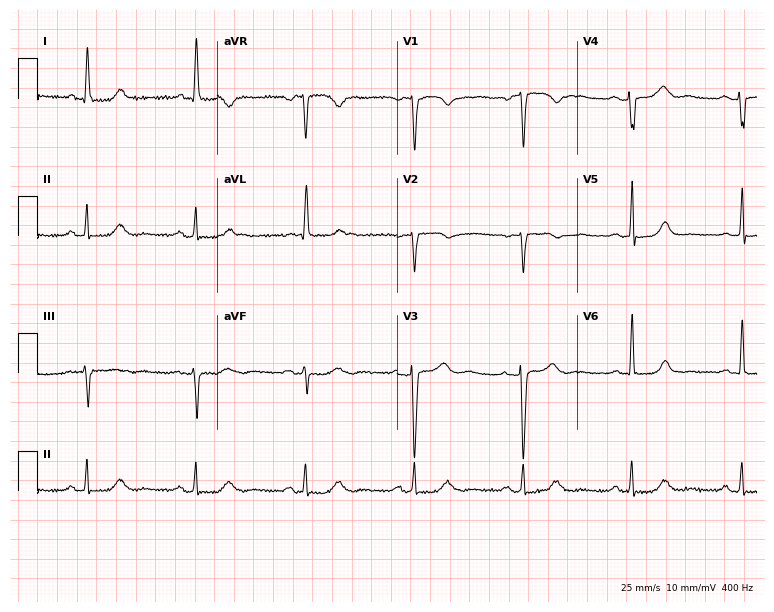
Electrocardiogram (7.3-second recording at 400 Hz), a 63-year-old woman. Of the six screened findings (first-degree AV block, right bundle branch block, left bundle branch block, sinus bradycardia, atrial fibrillation, sinus tachycardia), none is recorded.